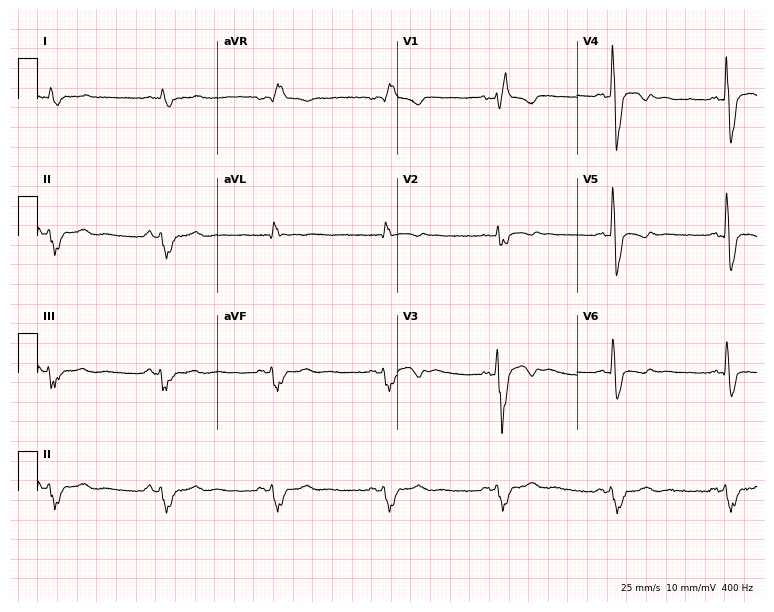
Electrocardiogram (7.3-second recording at 400 Hz), a man, 51 years old. Interpretation includes right bundle branch block.